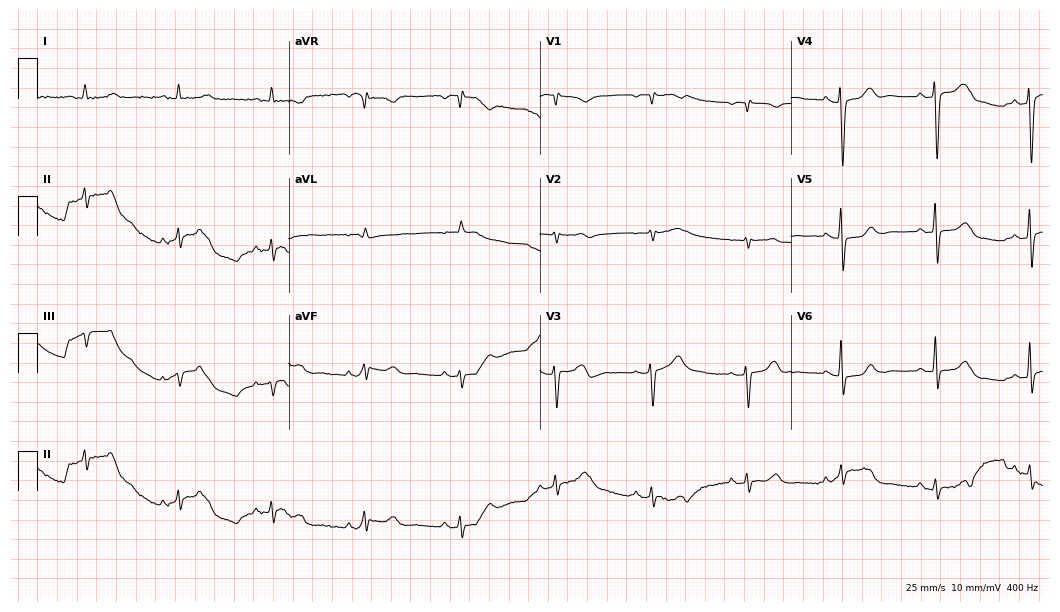
12-lead ECG from a female patient, 79 years old (10.2-second recording at 400 Hz). No first-degree AV block, right bundle branch block, left bundle branch block, sinus bradycardia, atrial fibrillation or sinus tachycardia recorded for this tracing.